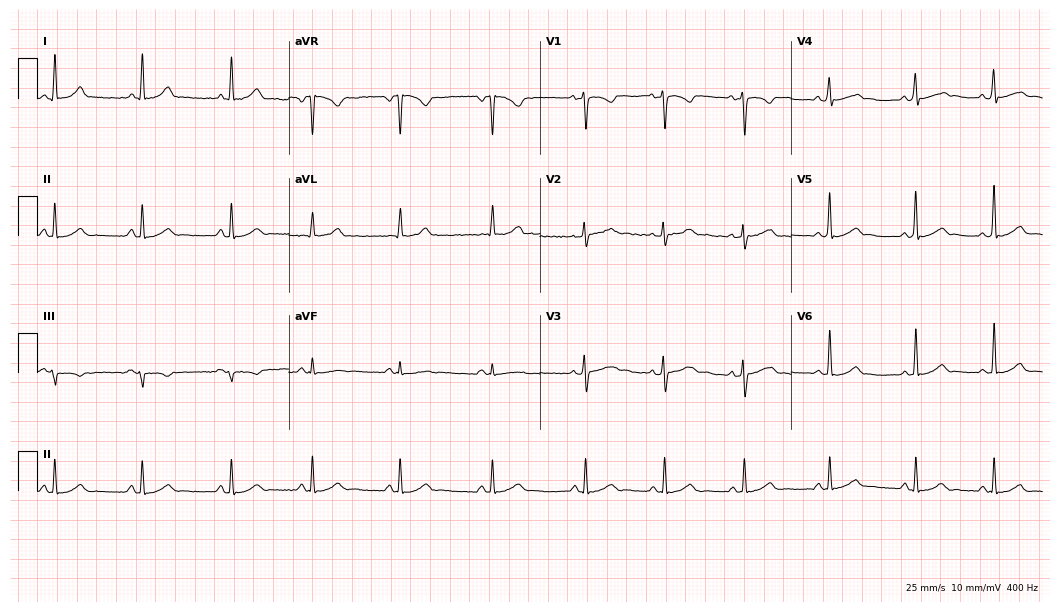
ECG — a 33-year-old female. Labelled as a normal ECG.